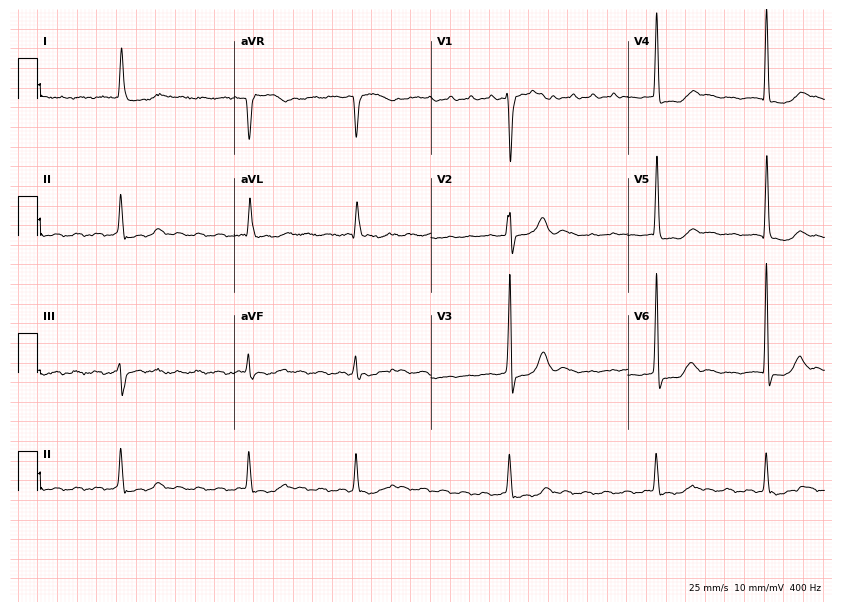
12-lead ECG from a male, 66 years old. Findings include atrial fibrillation.